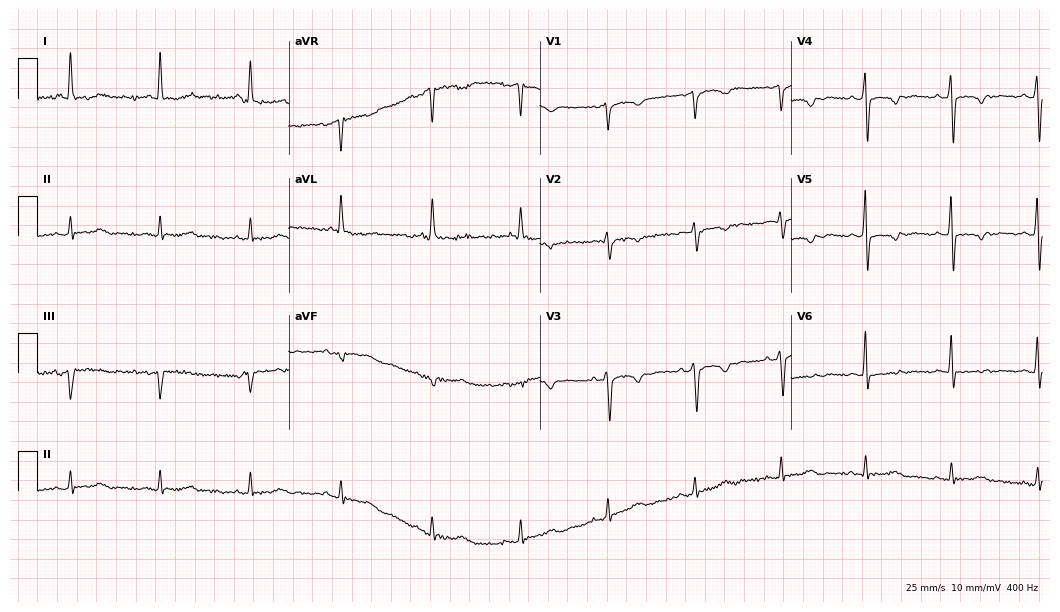
12-lead ECG from a 75-year-old woman (10.2-second recording at 400 Hz). No first-degree AV block, right bundle branch block (RBBB), left bundle branch block (LBBB), sinus bradycardia, atrial fibrillation (AF) or sinus tachycardia recorded for this tracing.